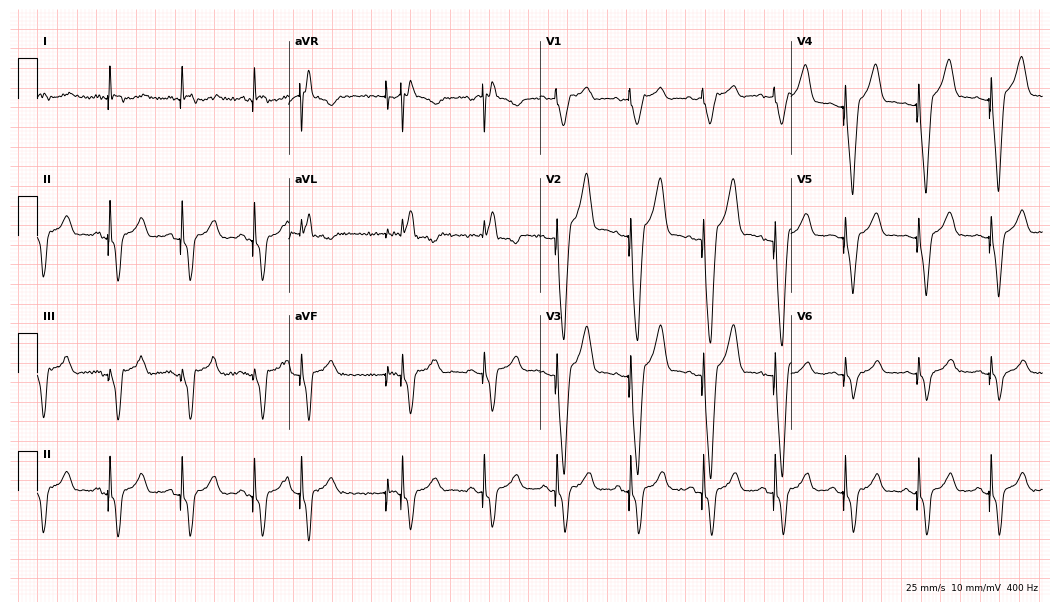
Resting 12-lead electrocardiogram. Patient: an 82-year-old man. None of these six findings is recorded: first-degree AV block, right bundle branch block (RBBB), left bundle branch block (LBBB), sinus bradycardia, atrial fibrillation (AF), sinus tachycardia.